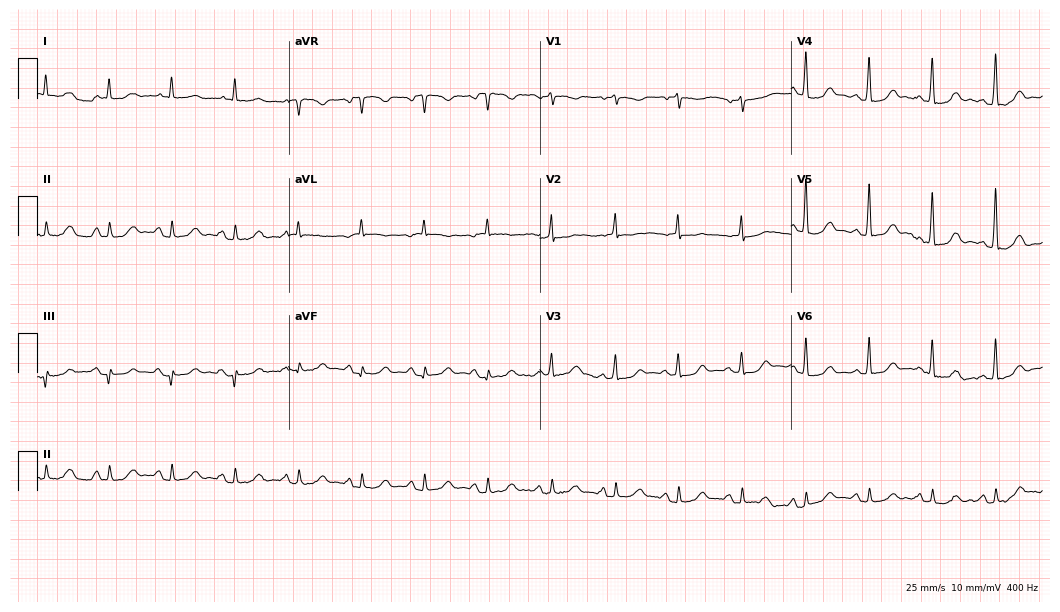
Resting 12-lead electrocardiogram. Patient: a man, 80 years old. Read as a normal ECG.